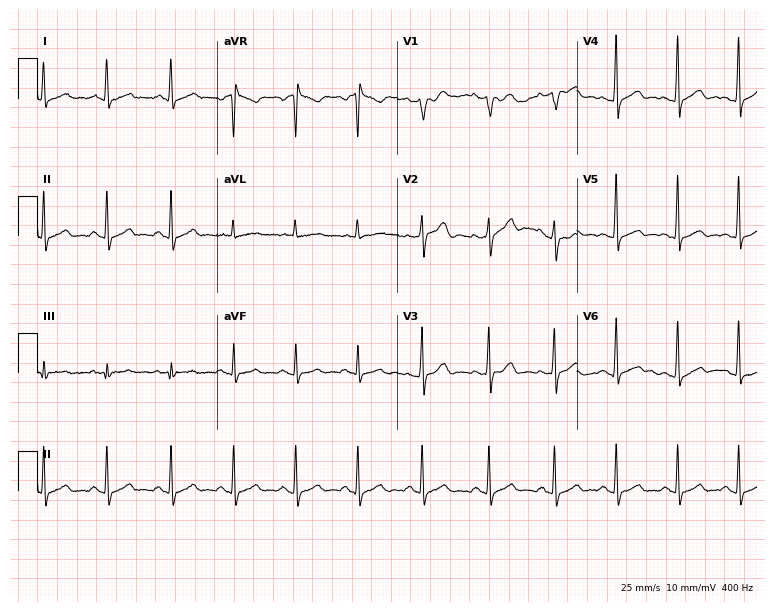
Electrocardiogram, a man, 32 years old. Of the six screened findings (first-degree AV block, right bundle branch block, left bundle branch block, sinus bradycardia, atrial fibrillation, sinus tachycardia), none is recorded.